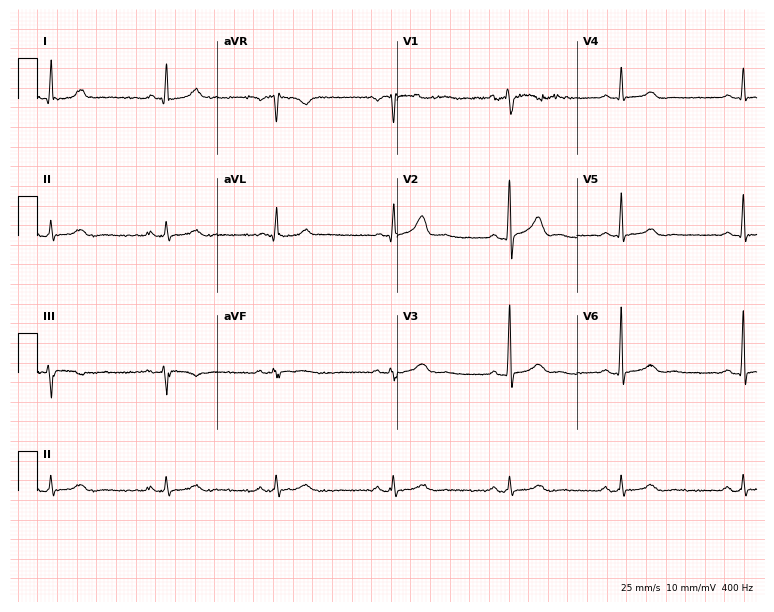
ECG — a man, 47 years old. Screened for six findings — first-degree AV block, right bundle branch block (RBBB), left bundle branch block (LBBB), sinus bradycardia, atrial fibrillation (AF), sinus tachycardia — none is recorded.